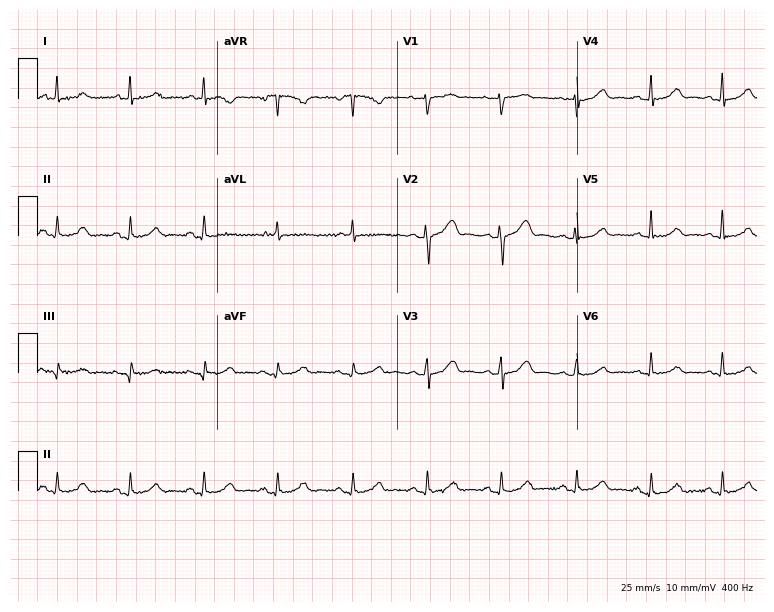
12-lead ECG from a 58-year-old woman. Recorded interpretation: within normal limits.